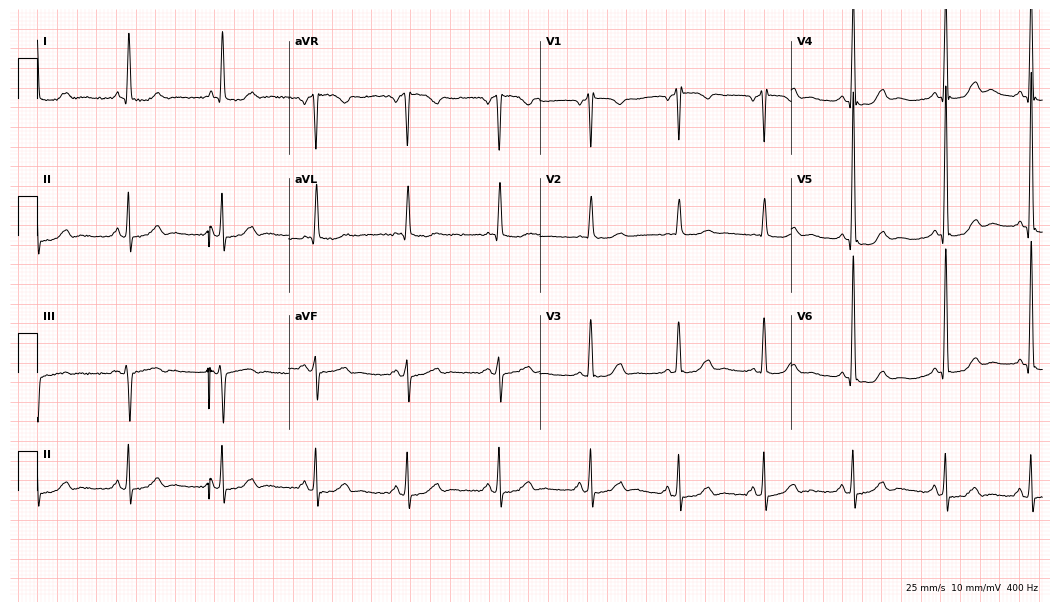
Standard 12-lead ECG recorded from a female, 67 years old (10.2-second recording at 400 Hz). None of these six findings is recorded: first-degree AV block, right bundle branch block, left bundle branch block, sinus bradycardia, atrial fibrillation, sinus tachycardia.